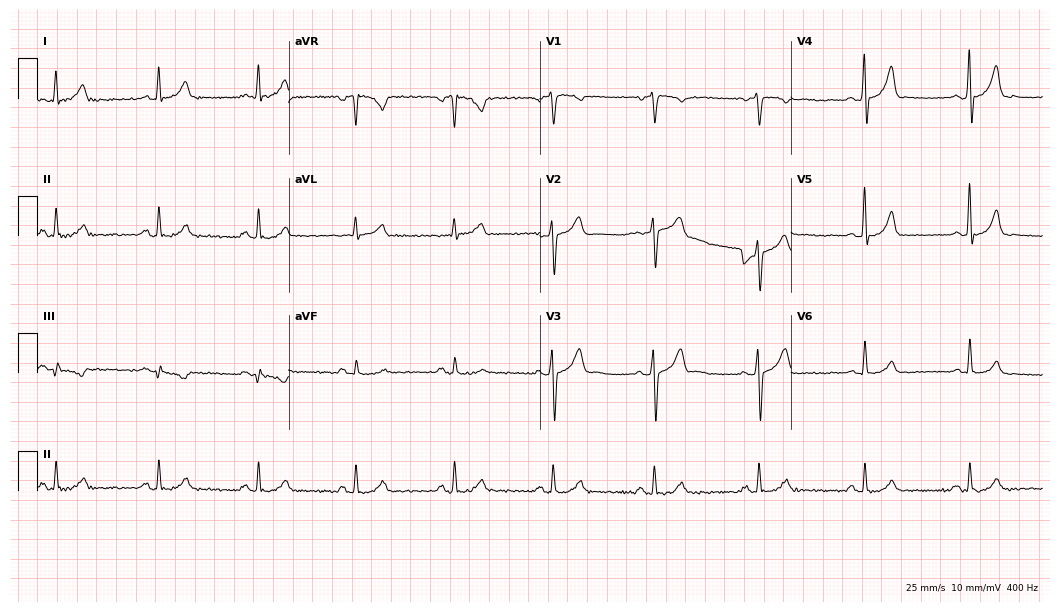
12-lead ECG from a male patient, 46 years old. Labelled as a normal ECG.